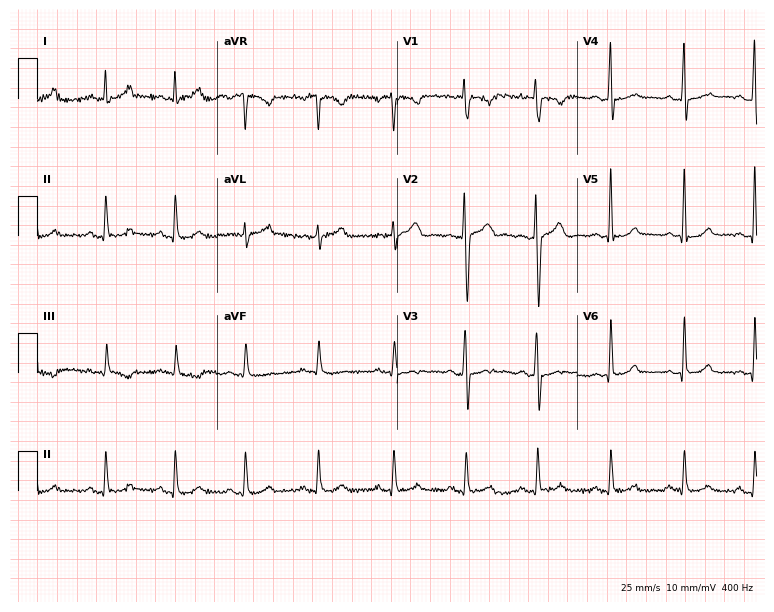
Electrocardiogram, a male patient, 26 years old. Overall reading on record: normal ECG.